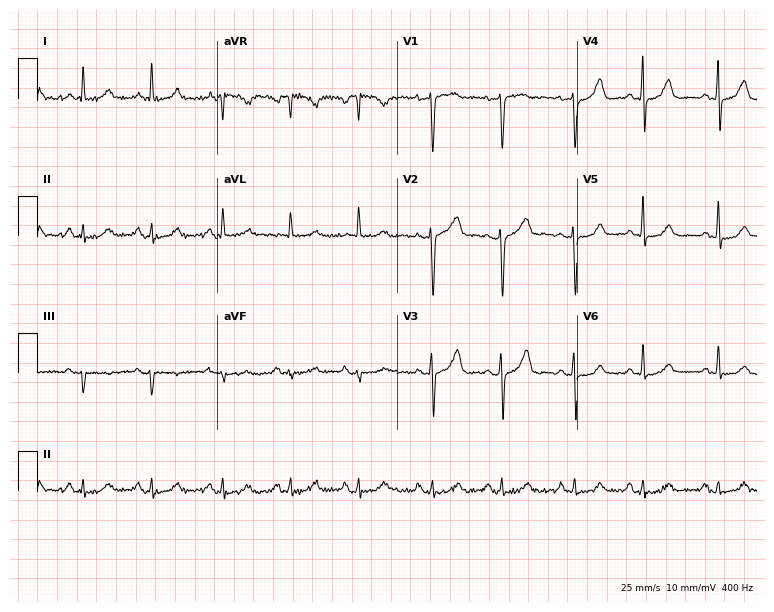
12-lead ECG from a 73-year-old woman (7.3-second recording at 400 Hz). No first-degree AV block, right bundle branch block, left bundle branch block, sinus bradycardia, atrial fibrillation or sinus tachycardia recorded for this tracing.